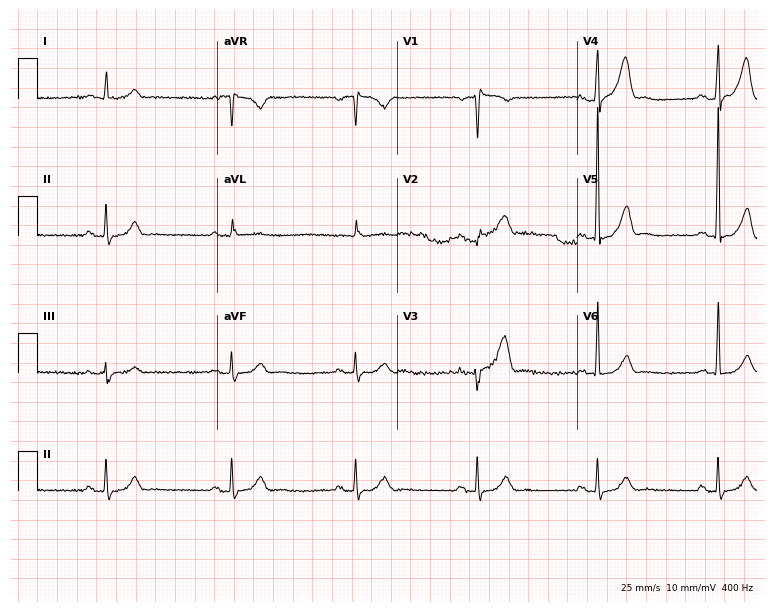
12-lead ECG from a 45-year-old male. Shows sinus bradycardia (a sinus rate of 50 beats per minute or less).